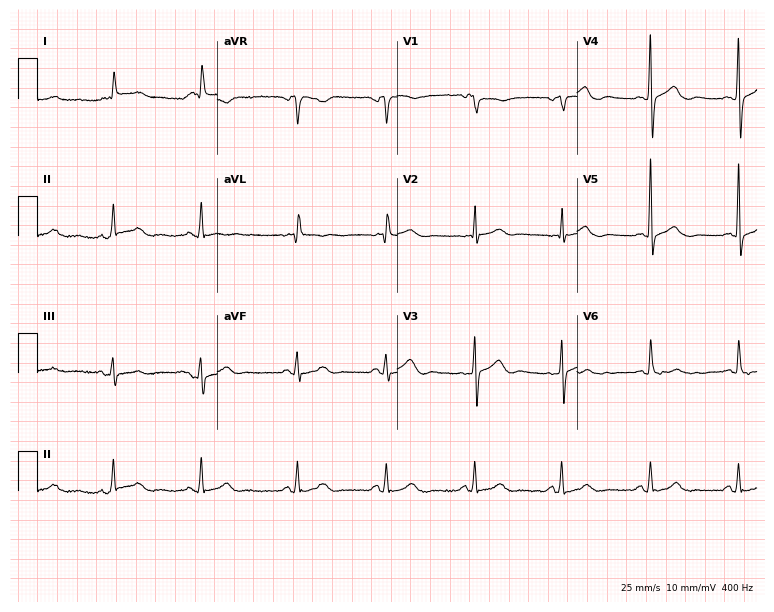
12-lead ECG (7.3-second recording at 400 Hz) from a woman, 82 years old. Screened for six findings — first-degree AV block, right bundle branch block (RBBB), left bundle branch block (LBBB), sinus bradycardia, atrial fibrillation (AF), sinus tachycardia — none is recorded. Only these six findings were labelled.